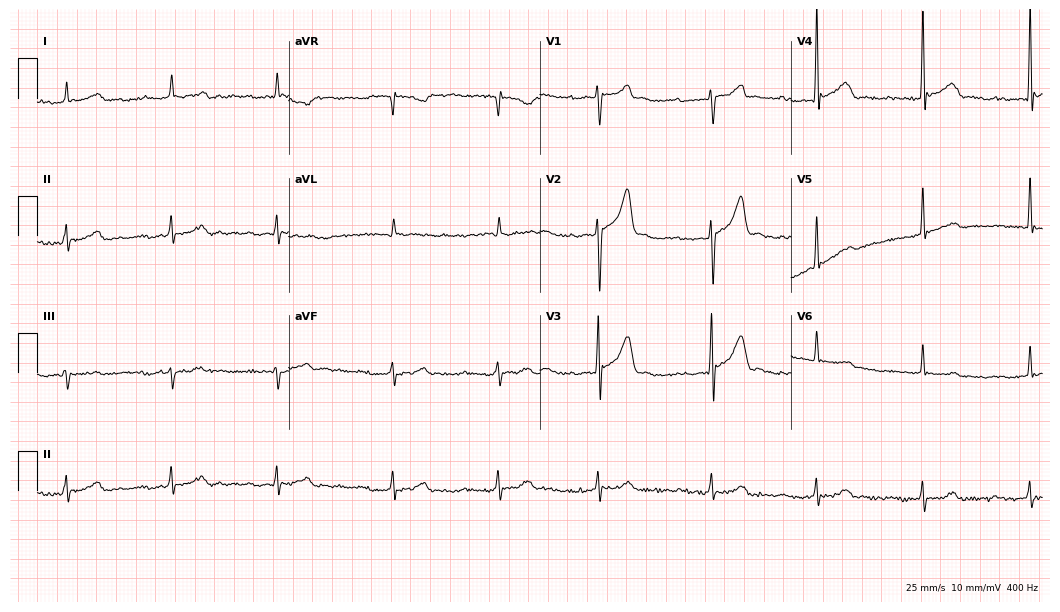
Resting 12-lead electrocardiogram (10.2-second recording at 400 Hz). Patient: an 81-year-old male. None of these six findings is recorded: first-degree AV block, right bundle branch block, left bundle branch block, sinus bradycardia, atrial fibrillation, sinus tachycardia.